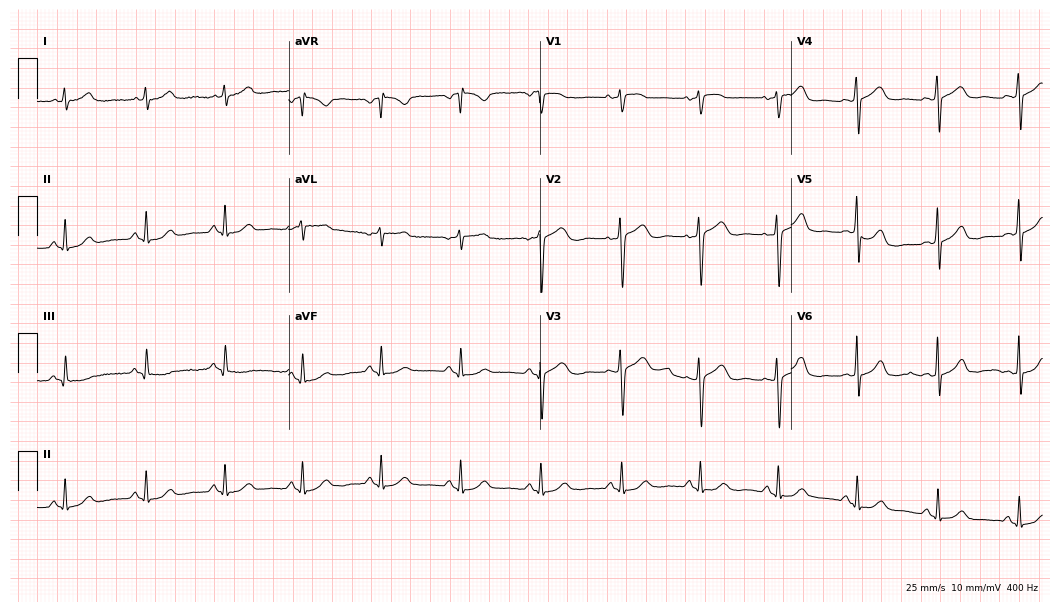
12-lead ECG from a 56-year-old woman (10.2-second recording at 400 Hz). Recorded interpretation: within normal limits.